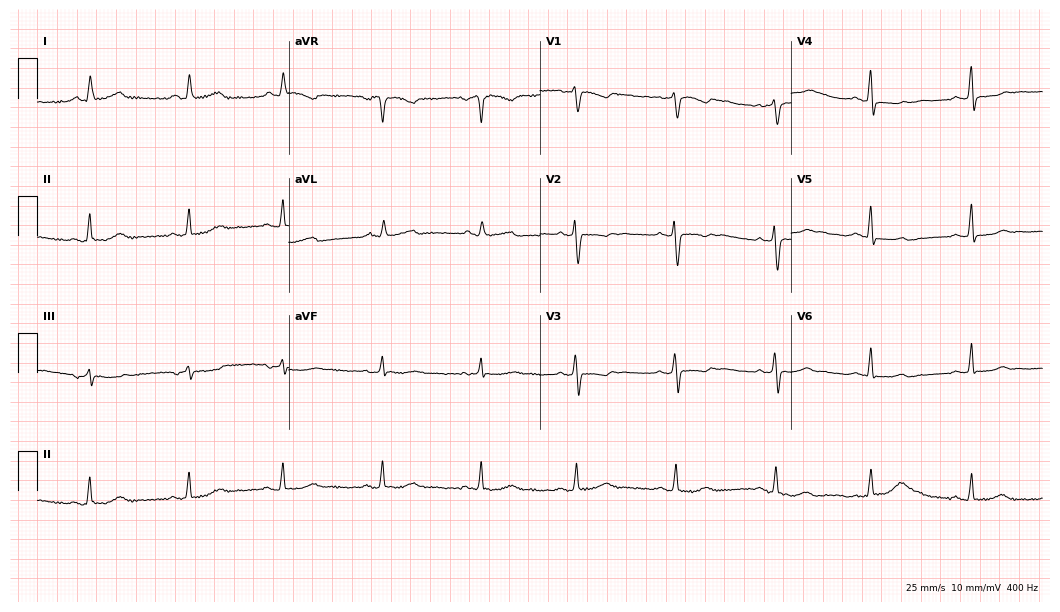
Electrocardiogram, a female patient, 65 years old. Of the six screened findings (first-degree AV block, right bundle branch block (RBBB), left bundle branch block (LBBB), sinus bradycardia, atrial fibrillation (AF), sinus tachycardia), none is recorded.